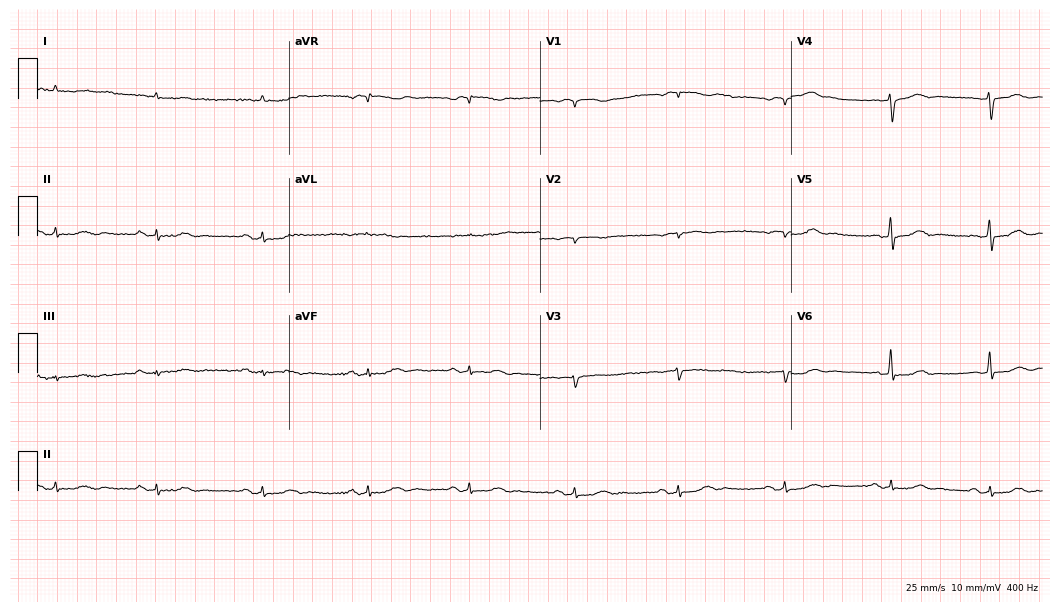
Electrocardiogram, an 84-year-old man. Of the six screened findings (first-degree AV block, right bundle branch block (RBBB), left bundle branch block (LBBB), sinus bradycardia, atrial fibrillation (AF), sinus tachycardia), none is recorded. Only these six findings were labelled.